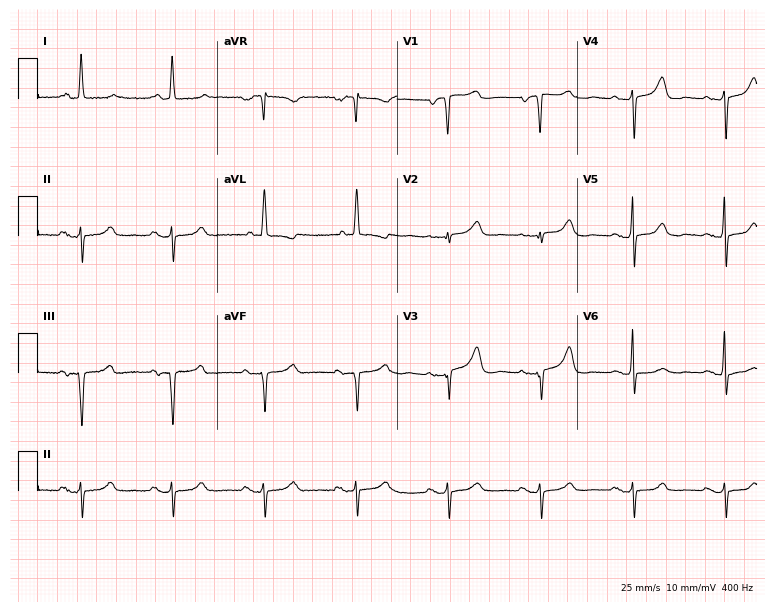
ECG (7.3-second recording at 400 Hz) — a woman, 75 years old. Screened for six findings — first-degree AV block, right bundle branch block, left bundle branch block, sinus bradycardia, atrial fibrillation, sinus tachycardia — none is recorded.